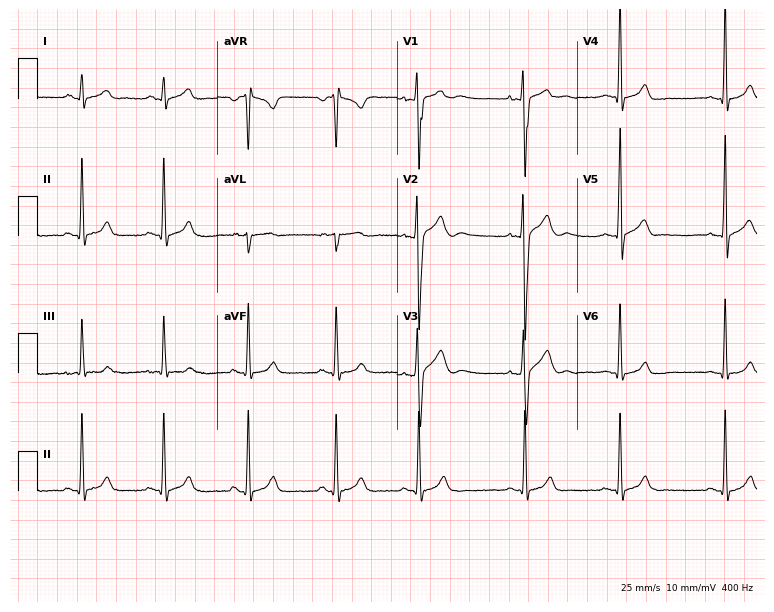
12-lead ECG (7.3-second recording at 400 Hz) from a male, 19 years old. Labelled as a normal ECG.